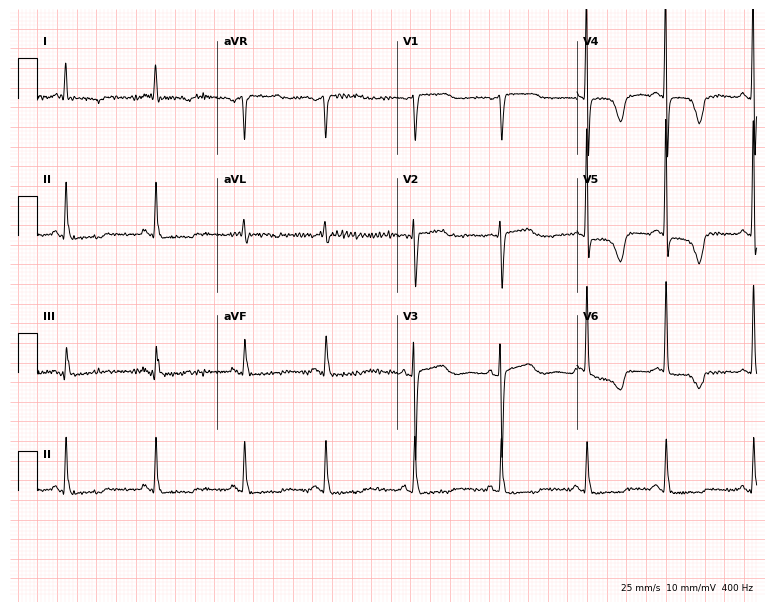
Standard 12-lead ECG recorded from a 69-year-old woman (7.3-second recording at 400 Hz). None of these six findings is recorded: first-degree AV block, right bundle branch block, left bundle branch block, sinus bradycardia, atrial fibrillation, sinus tachycardia. Other findings, if any, are not listed.